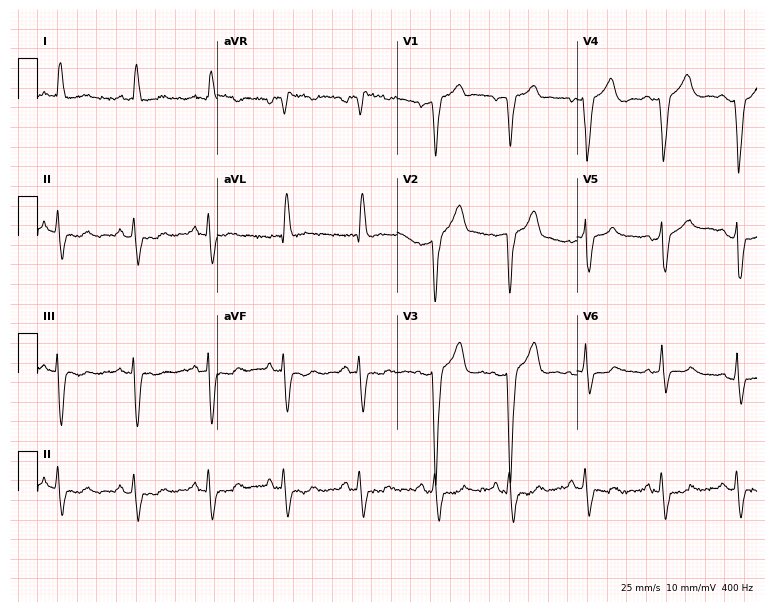
ECG — a 56-year-old male patient. Screened for six findings — first-degree AV block, right bundle branch block (RBBB), left bundle branch block (LBBB), sinus bradycardia, atrial fibrillation (AF), sinus tachycardia — none is recorded. Findings outside these six are not listed.